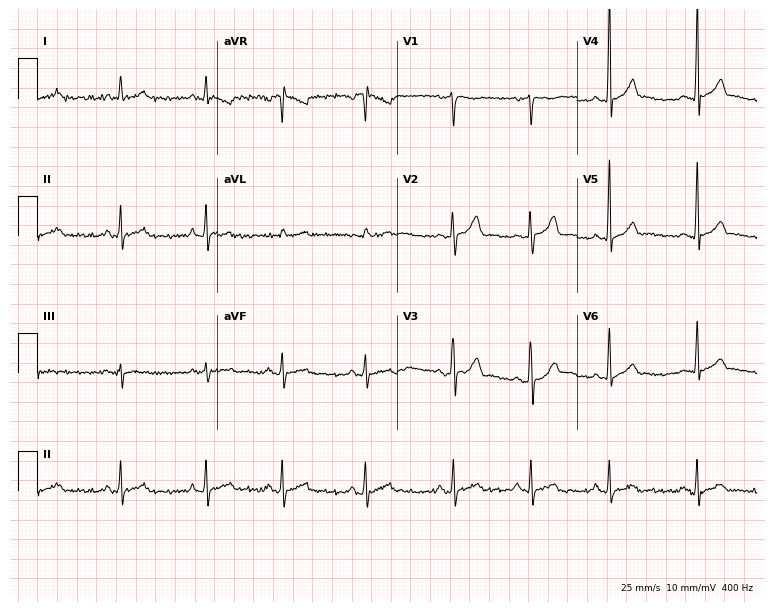
Electrocardiogram, a woman, 24 years old. Of the six screened findings (first-degree AV block, right bundle branch block (RBBB), left bundle branch block (LBBB), sinus bradycardia, atrial fibrillation (AF), sinus tachycardia), none is recorded. Only these six findings were labelled.